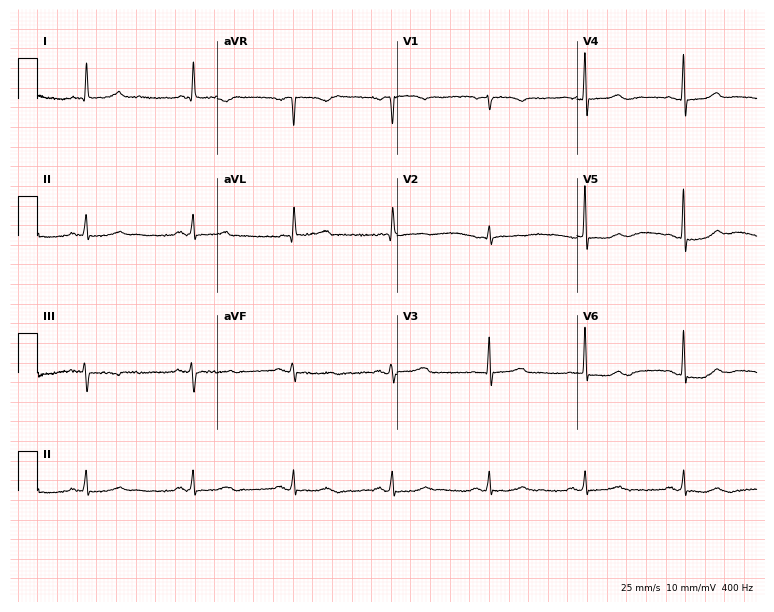
Resting 12-lead electrocardiogram (7.3-second recording at 400 Hz). Patient: a female, 72 years old. None of these six findings is recorded: first-degree AV block, right bundle branch block (RBBB), left bundle branch block (LBBB), sinus bradycardia, atrial fibrillation (AF), sinus tachycardia.